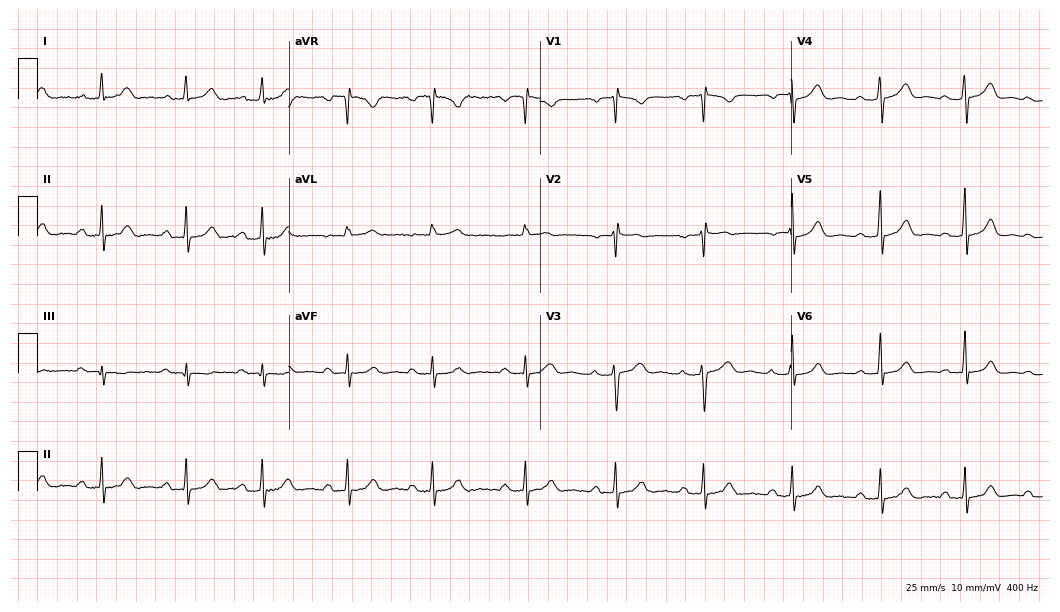
ECG (10.2-second recording at 400 Hz) — a woman, 52 years old. Findings include first-degree AV block.